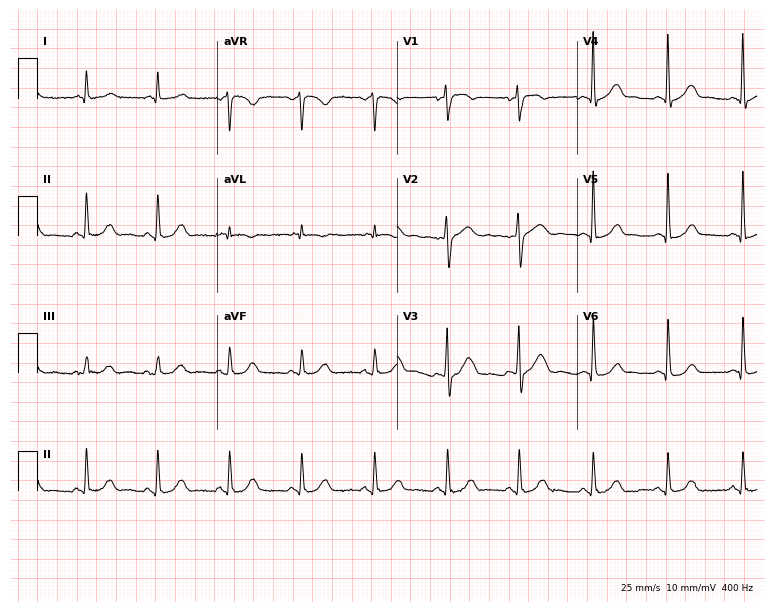
12-lead ECG from a 60-year-old female patient. Screened for six findings — first-degree AV block, right bundle branch block, left bundle branch block, sinus bradycardia, atrial fibrillation, sinus tachycardia — none is recorded.